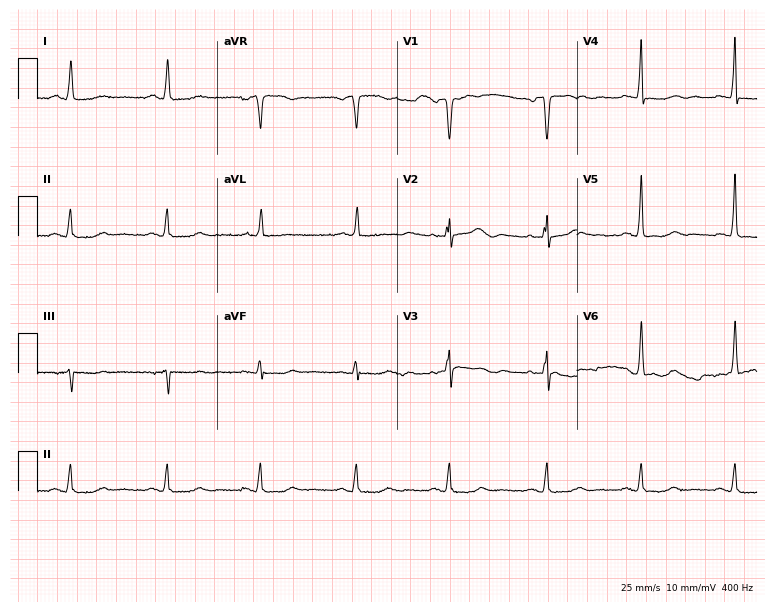
Electrocardiogram, a female patient, 80 years old. Of the six screened findings (first-degree AV block, right bundle branch block (RBBB), left bundle branch block (LBBB), sinus bradycardia, atrial fibrillation (AF), sinus tachycardia), none is recorded.